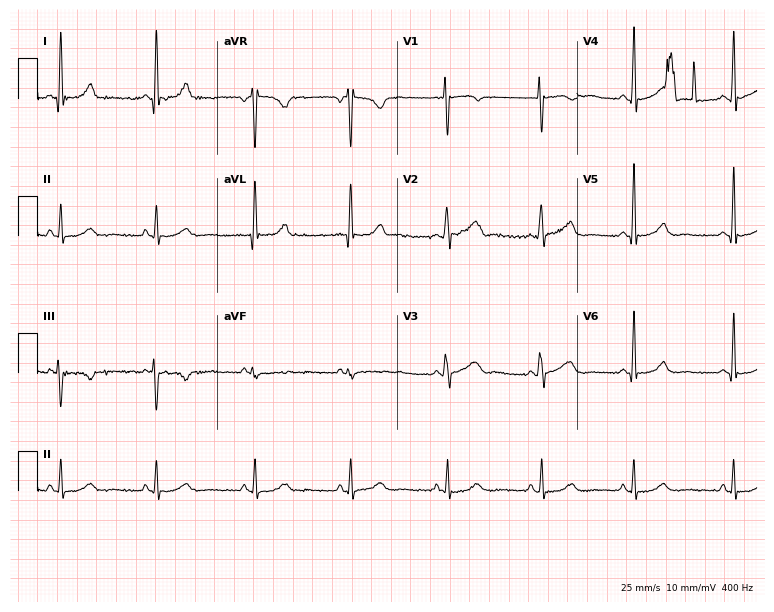
ECG (7.3-second recording at 400 Hz) — a 42-year-old female patient. Screened for six findings — first-degree AV block, right bundle branch block (RBBB), left bundle branch block (LBBB), sinus bradycardia, atrial fibrillation (AF), sinus tachycardia — none is recorded.